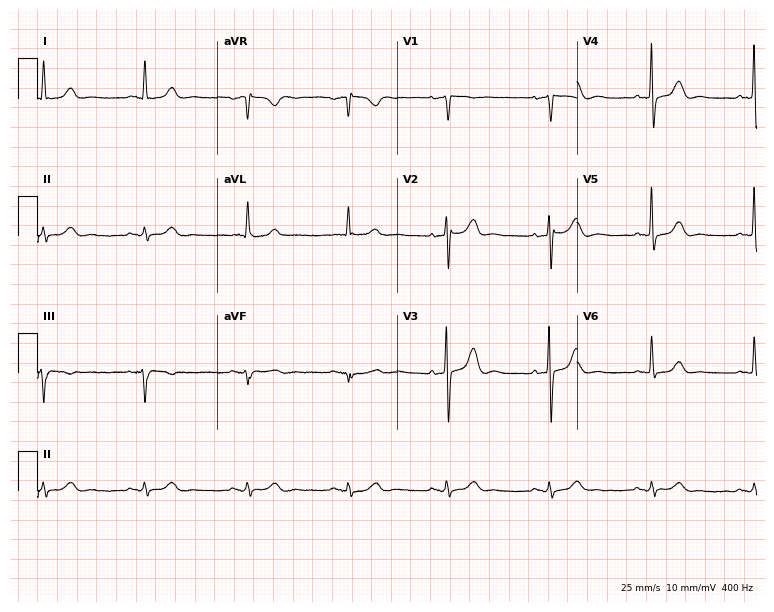
ECG (7.3-second recording at 400 Hz) — a man, 85 years old. Labelled as a normal ECG.